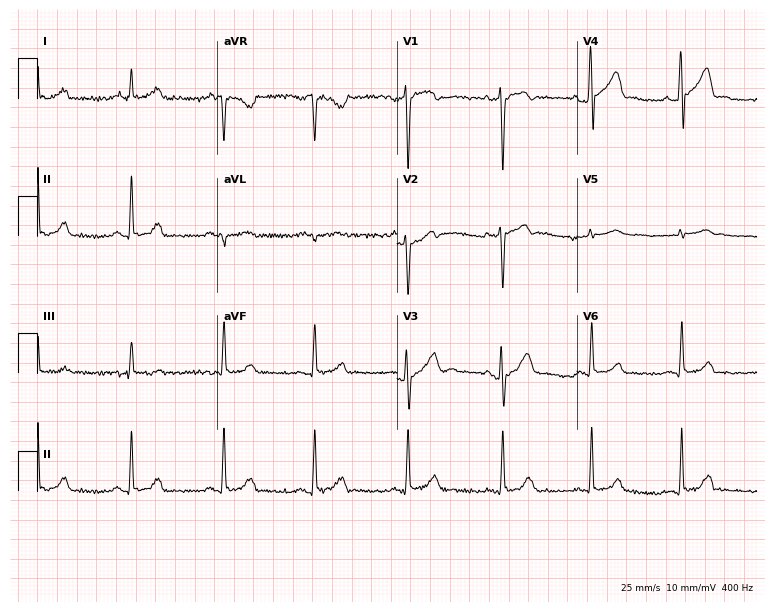
12-lead ECG (7.3-second recording at 400 Hz) from a male, 30 years old. Screened for six findings — first-degree AV block, right bundle branch block, left bundle branch block, sinus bradycardia, atrial fibrillation, sinus tachycardia — none is recorded. Only these six findings were labelled.